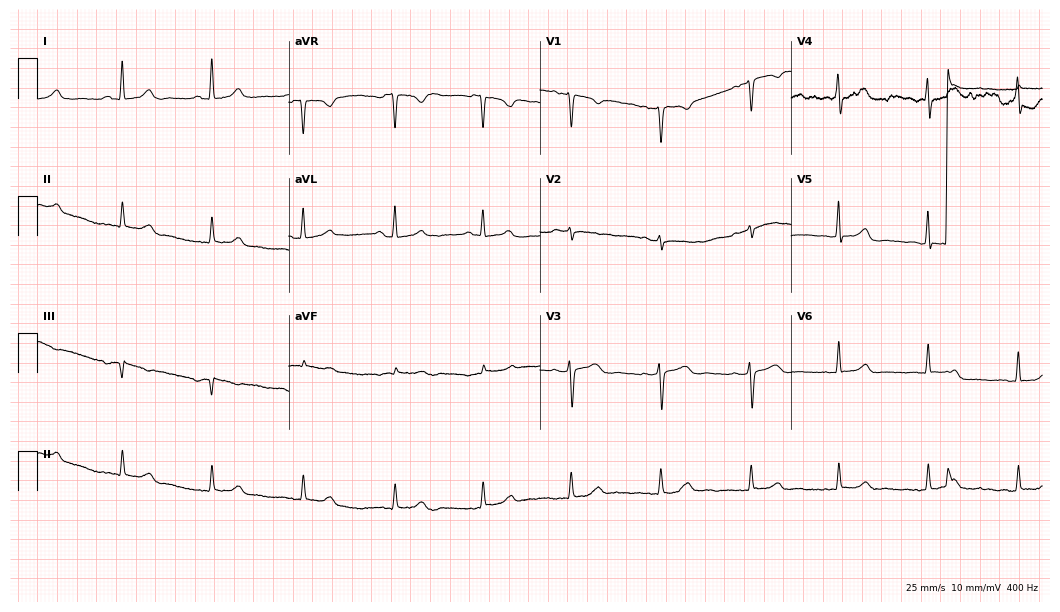
Electrocardiogram (10.2-second recording at 400 Hz), a female patient, 39 years old. Of the six screened findings (first-degree AV block, right bundle branch block (RBBB), left bundle branch block (LBBB), sinus bradycardia, atrial fibrillation (AF), sinus tachycardia), none is recorded. Other findings, if any, are not listed.